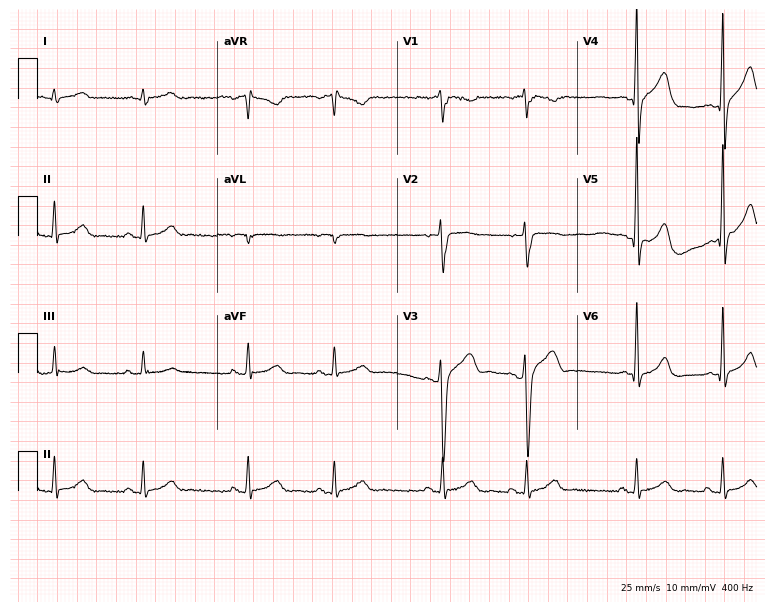
12-lead ECG (7.3-second recording at 400 Hz) from a 32-year-old man. Labelled as a normal ECG.